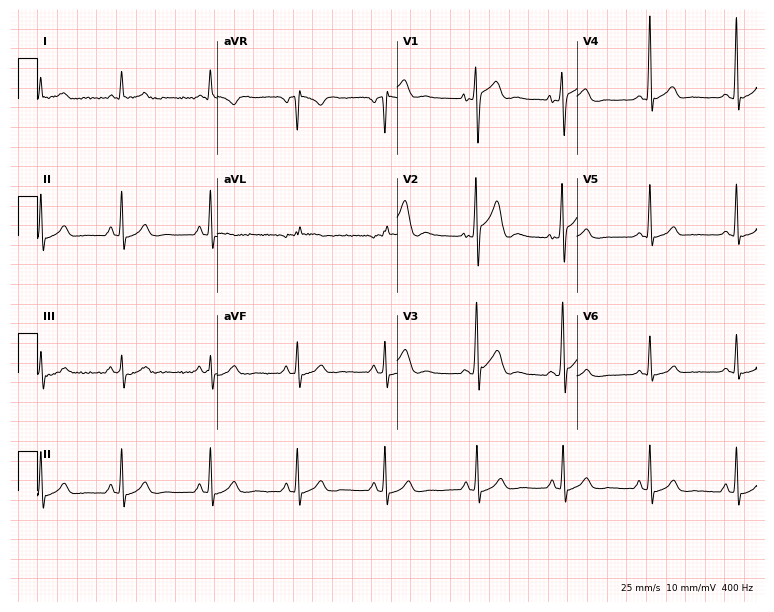
Electrocardiogram, a man, 24 years old. Of the six screened findings (first-degree AV block, right bundle branch block, left bundle branch block, sinus bradycardia, atrial fibrillation, sinus tachycardia), none is recorded. Other findings, if any, are not listed.